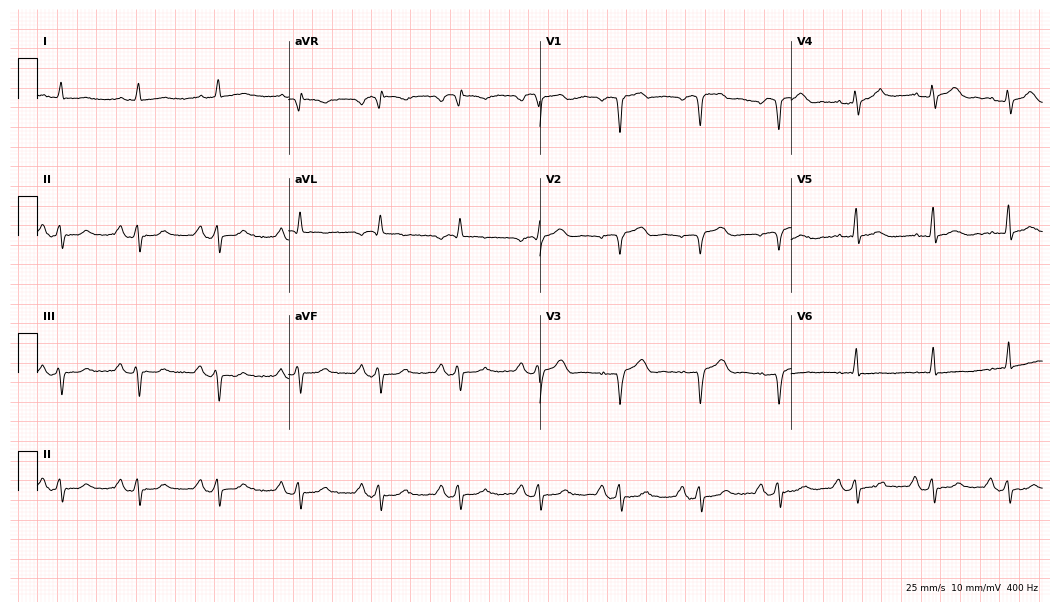
ECG (10.2-second recording at 400 Hz) — a male patient, 70 years old. Screened for six findings — first-degree AV block, right bundle branch block, left bundle branch block, sinus bradycardia, atrial fibrillation, sinus tachycardia — none is recorded. Only these six findings were labelled.